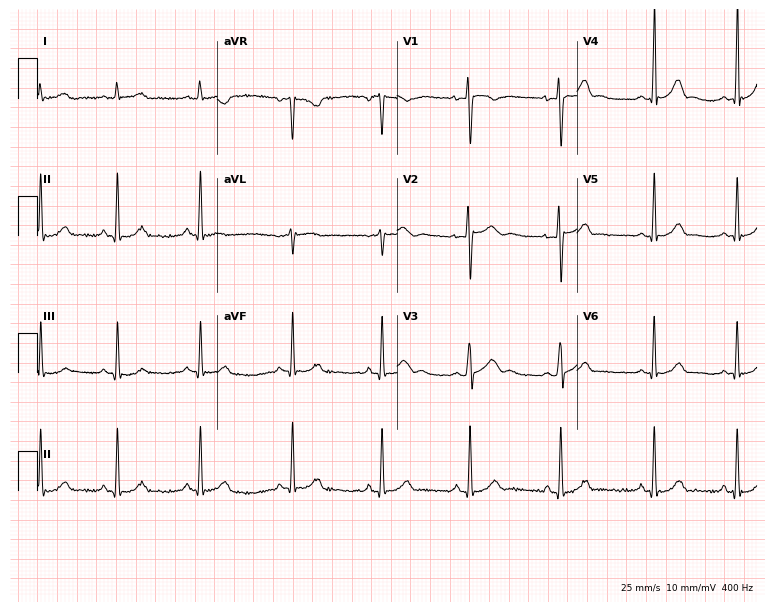
Electrocardiogram (7.3-second recording at 400 Hz), a 19-year-old female. Of the six screened findings (first-degree AV block, right bundle branch block, left bundle branch block, sinus bradycardia, atrial fibrillation, sinus tachycardia), none is recorded. Findings outside these six are not listed.